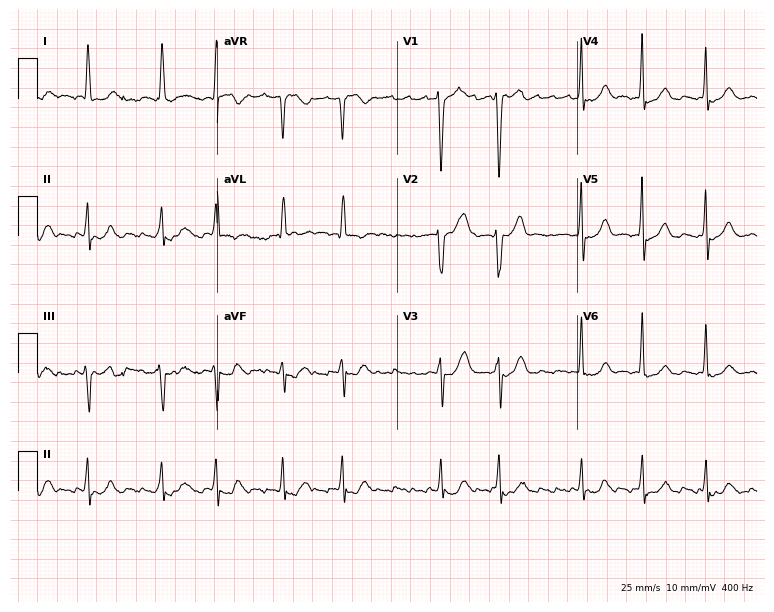
Resting 12-lead electrocardiogram. Patient: a female, 76 years old. The tracing shows atrial fibrillation.